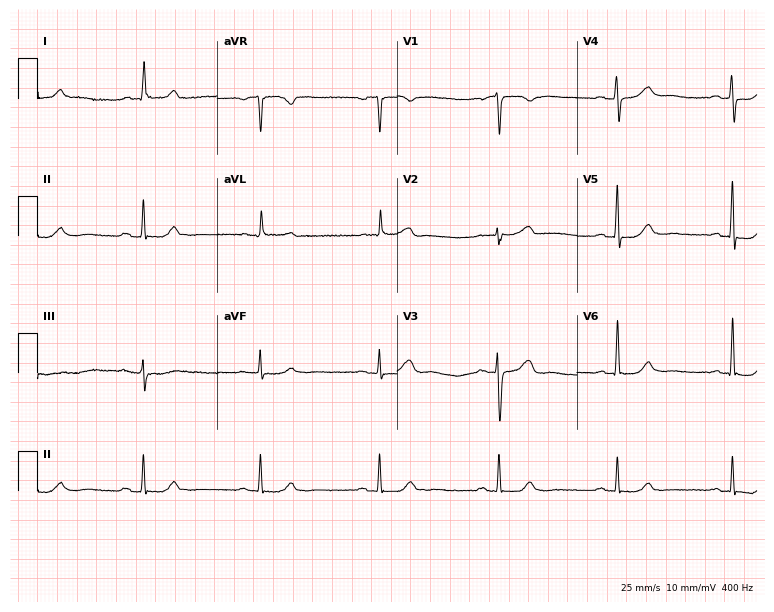
Resting 12-lead electrocardiogram. Patient: a 62-year-old woman. The tracing shows sinus bradycardia (a sinus rate of 50 beats per minute or less).